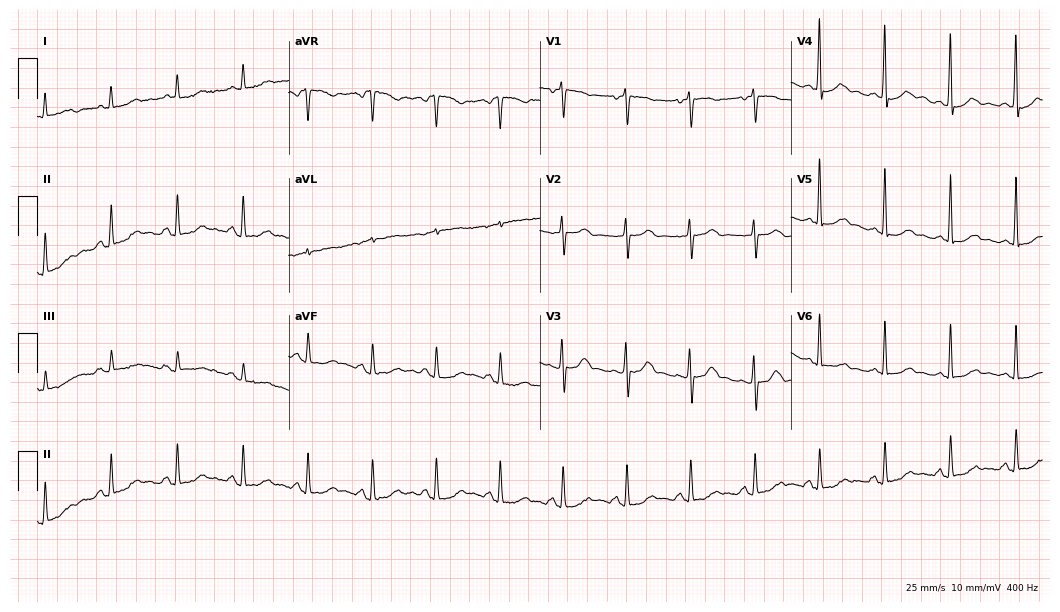
Electrocardiogram, a 75-year-old female patient. Of the six screened findings (first-degree AV block, right bundle branch block (RBBB), left bundle branch block (LBBB), sinus bradycardia, atrial fibrillation (AF), sinus tachycardia), none is recorded.